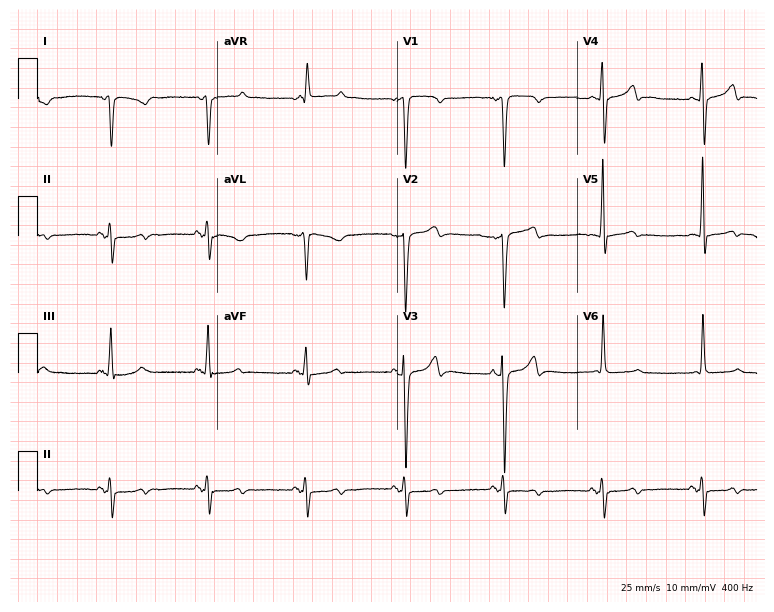
12-lead ECG (7.3-second recording at 400 Hz) from a 54-year-old female. Screened for six findings — first-degree AV block, right bundle branch block (RBBB), left bundle branch block (LBBB), sinus bradycardia, atrial fibrillation (AF), sinus tachycardia — none is recorded.